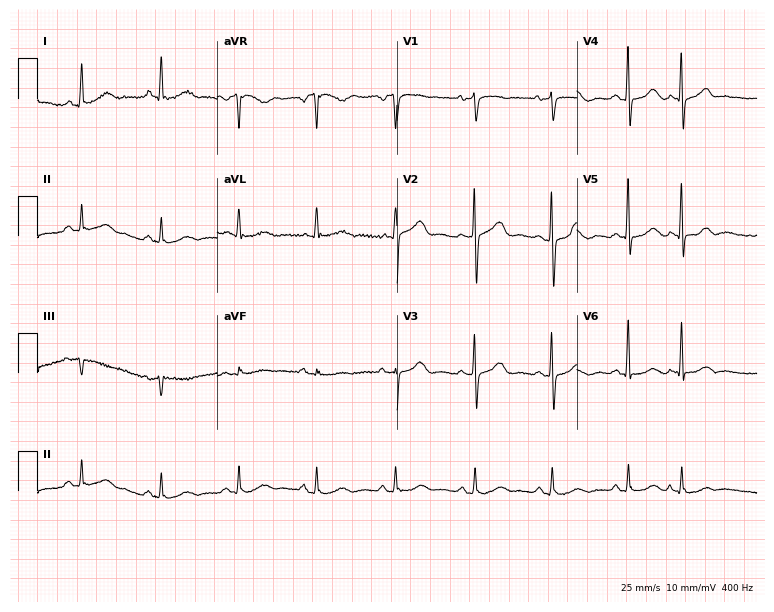
12-lead ECG from a female, 61 years old. Recorded interpretation: within normal limits.